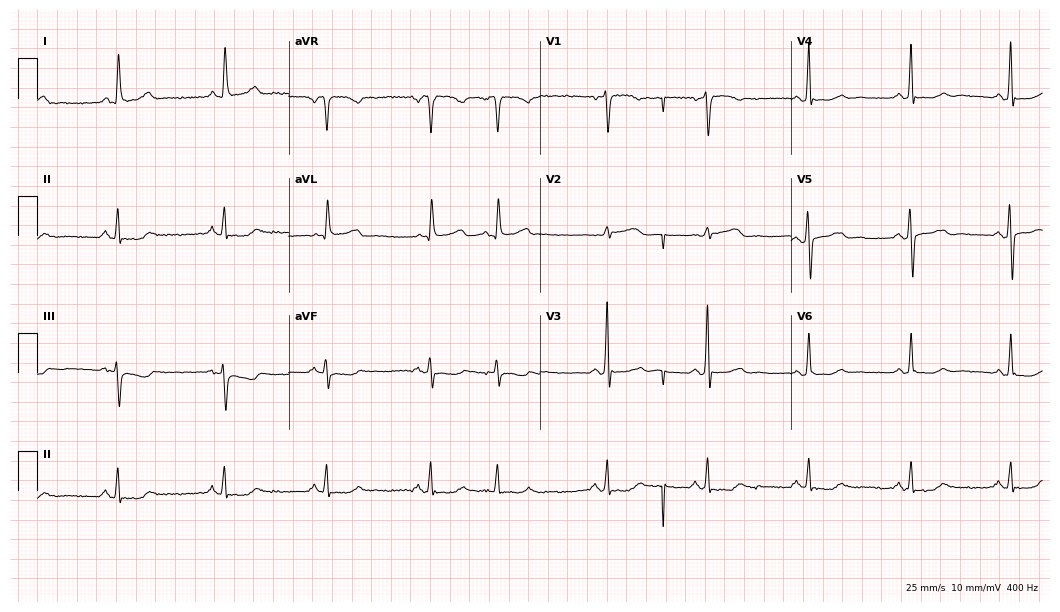
Resting 12-lead electrocardiogram. Patient: a 72-year-old woman. None of these six findings is recorded: first-degree AV block, right bundle branch block, left bundle branch block, sinus bradycardia, atrial fibrillation, sinus tachycardia.